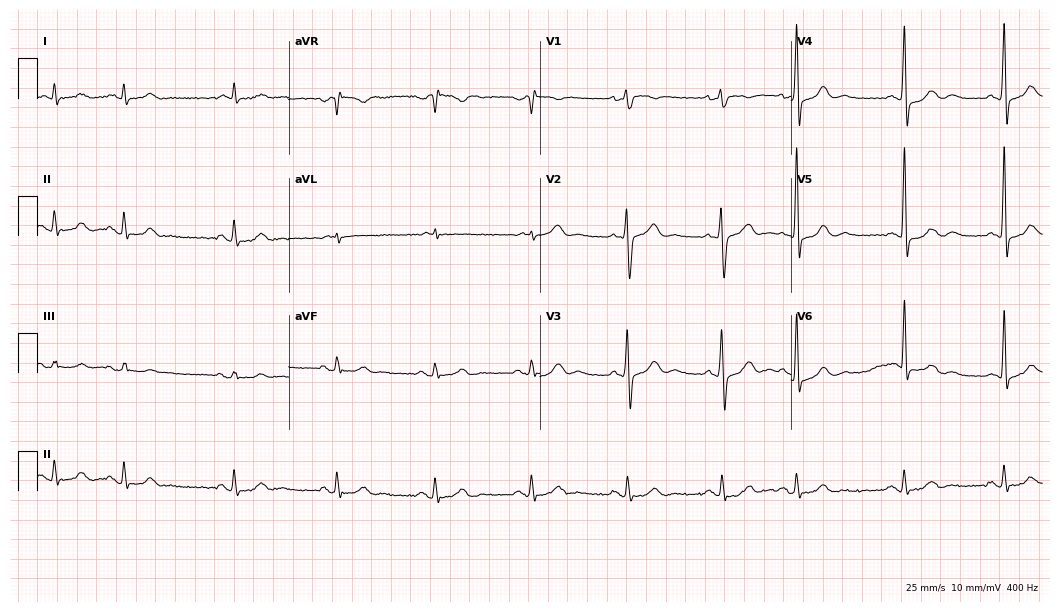
ECG (10.2-second recording at 400 Hz) — a 77-year-old female patient. Screened for six findings — first-degree AV block, right bundle branch block, left bundle branch block, sinus bradycardia, atrial fibrillation, sinus tachycardia — none is recorded.